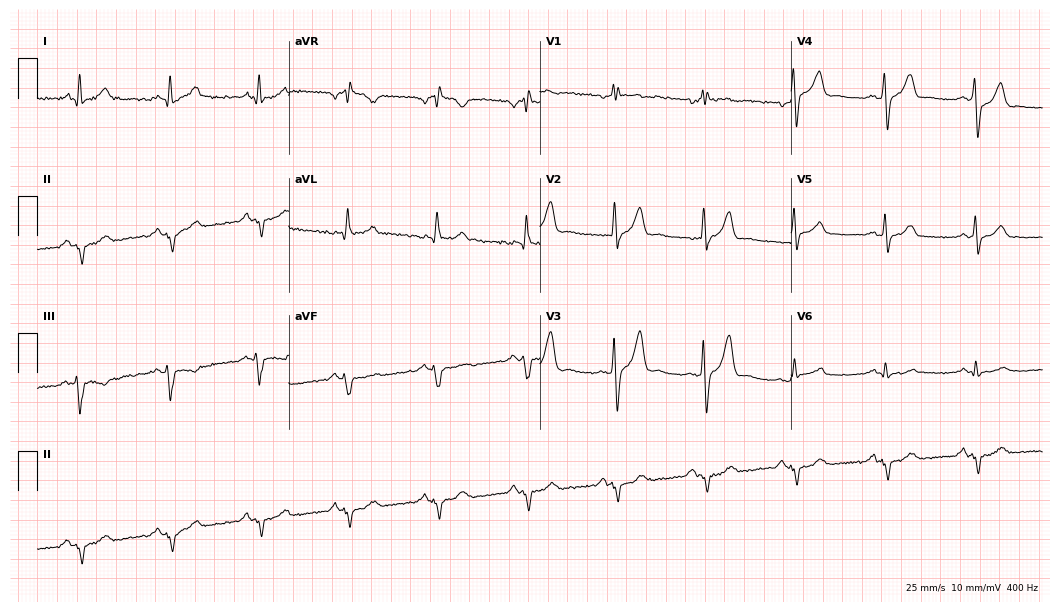
12-lead ECG from a male, 43 years old (10.2-second recording at 400 Hz). No first-degree AV block, right bundle branch block (RBBB), left bundle branch block (LBBB), sinus bradycardia, atrial fibrillation (AF) or sinus tachycardia recorded for this tracing.